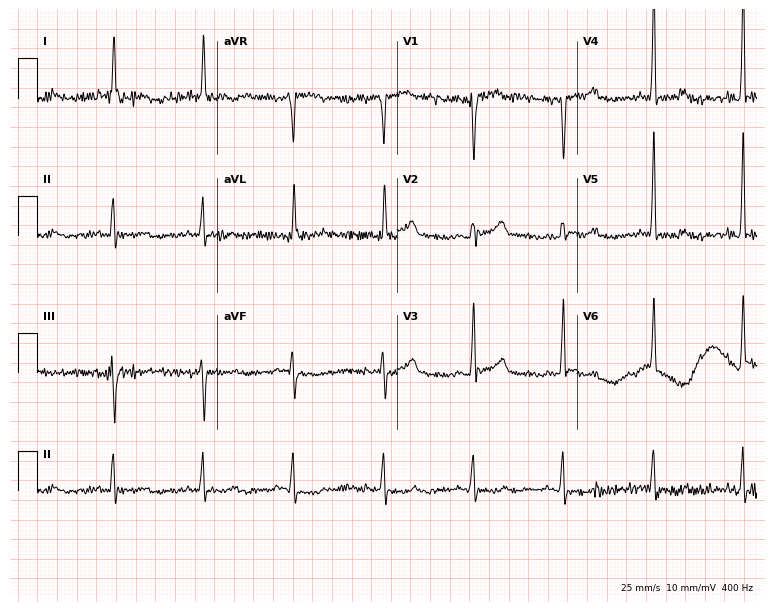
12-lead ECG from a 67-year-old woman. No first-degree AV block, right bundle branch block, left bundle branch block, sinus bradycardia, atrial fibrillation or sinus tachycardia recorded for this tracing. Only these six findings were labelled.